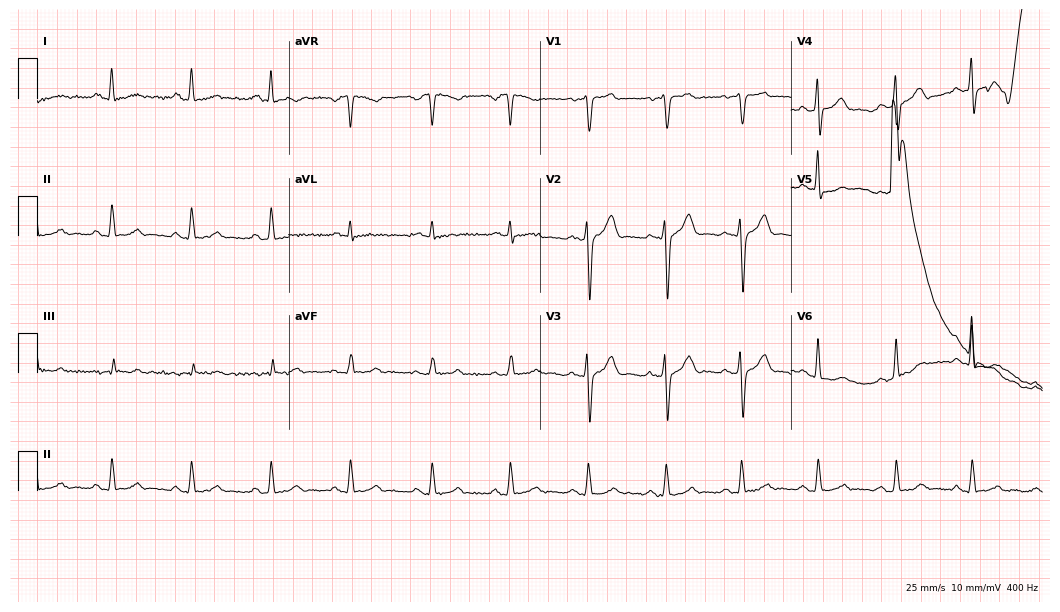
12-lead ECG from a male patient, 32 years old. Labelled as a normal ECG.